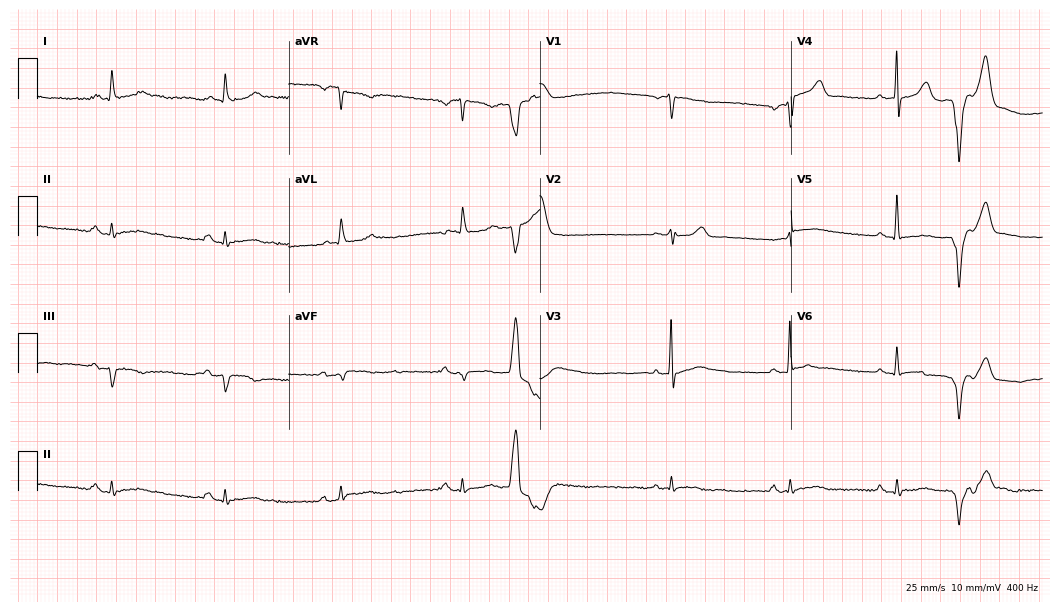
ECG — a 79-year-old male patient. Labelled as a normal ECG.